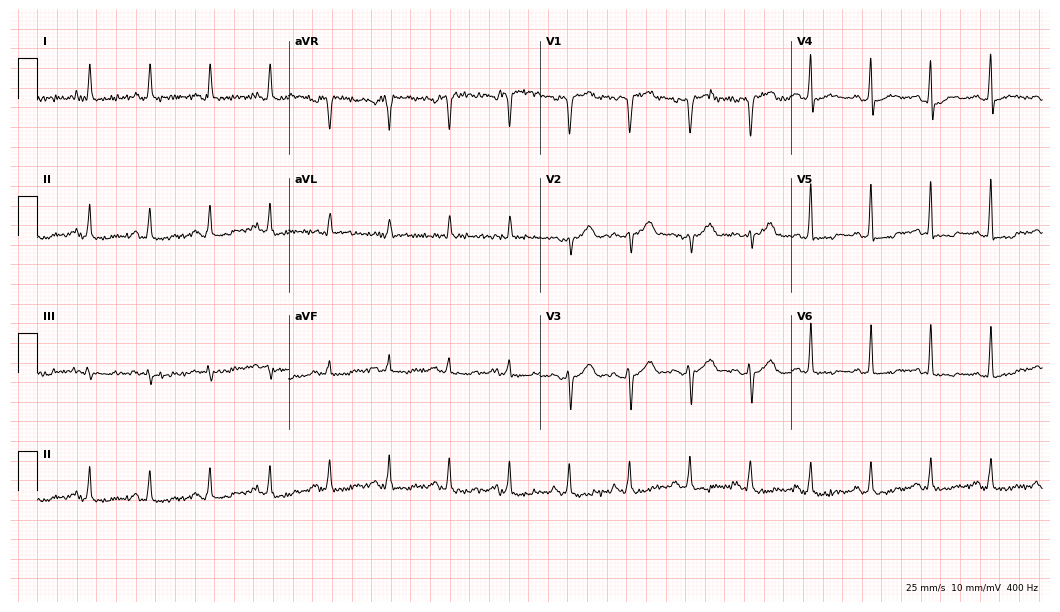
12-lead ECG from a 62-year-old man. Screened for six findings — first-degree AV block, right bundle branch block (RBBB), left bundle branch block (LBBB), sinus bradycardia, atrial fibrillation (AF), sinus tachycardia — none is recorded.